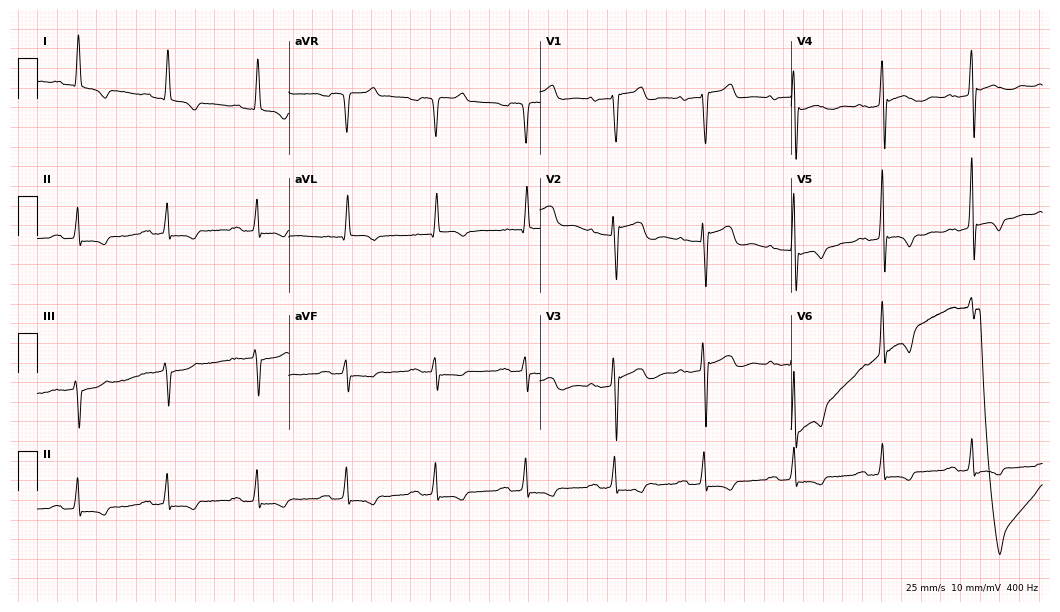
Electrocardiogram (10.2-second recording at 400 Hz), a male patient, 82 years old. Of the six screened findings (first-degree AV block, right bundle branch block (RBBB), left bundle branch block (LBBB), sinus bradycardia, atrial fibrillation (AF), sinus tachycardia), none is recorded.